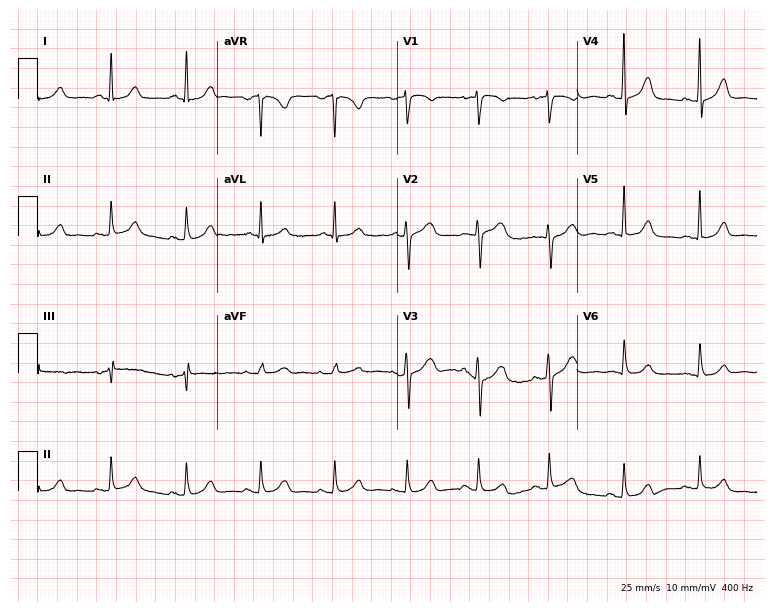
12-lead ECG from a female, 59 years old. Screened for six findings — first-degree AV block, right bundle branch block, left bundle branch block, sinus bradycardia, atrial fibrillation, sinus tachycardia — none is recorded.